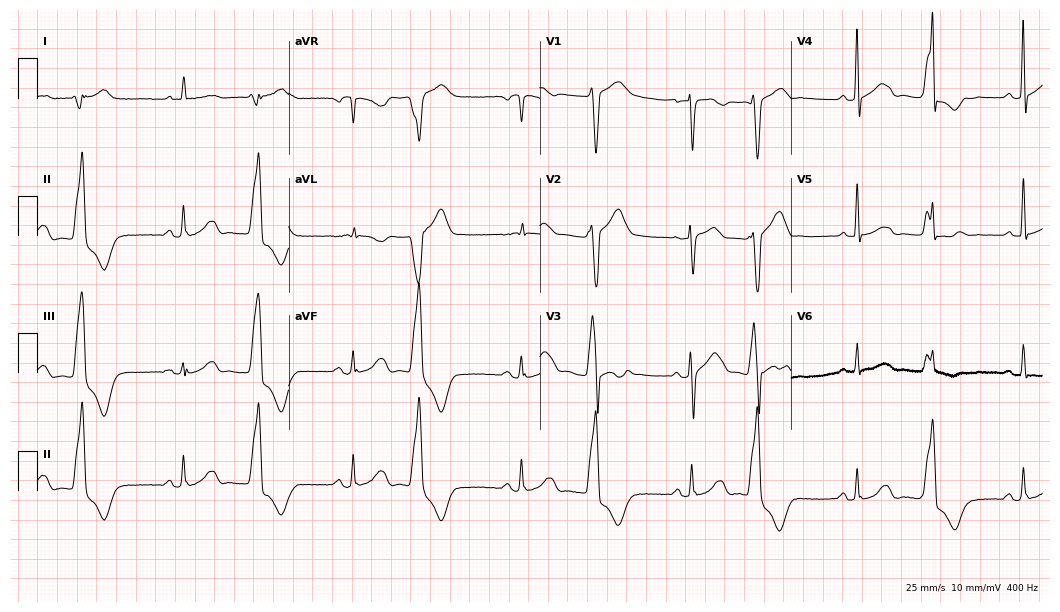
ECG — a 79-year-old female patient. Screened for six findings — first-degree AV block, right bundle branch block, left bundle branch block, sinus bradycardia, atrial fibrillation, sinus tachycardia — none is recorded.